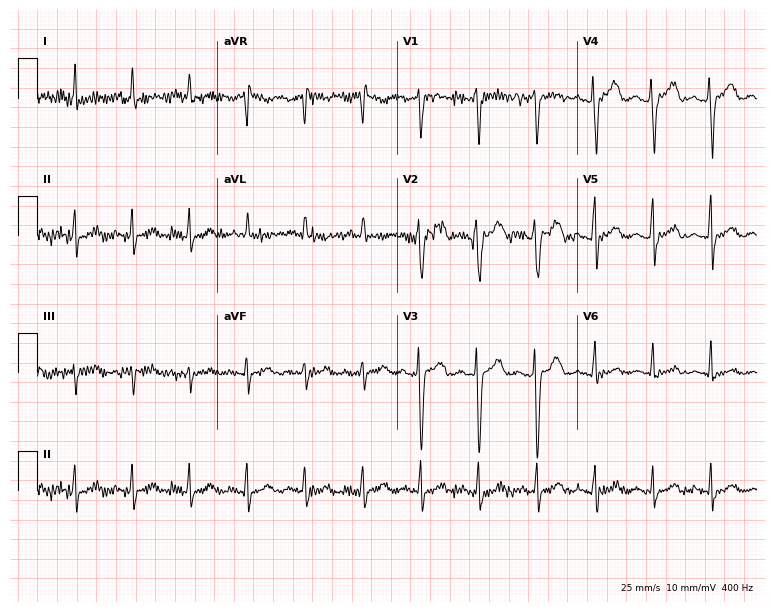
Resting 12-lead electrocardiogram (7.3-second recording at 400 Hz). Patient: a female, 54 years old. Read as a normal ECG.